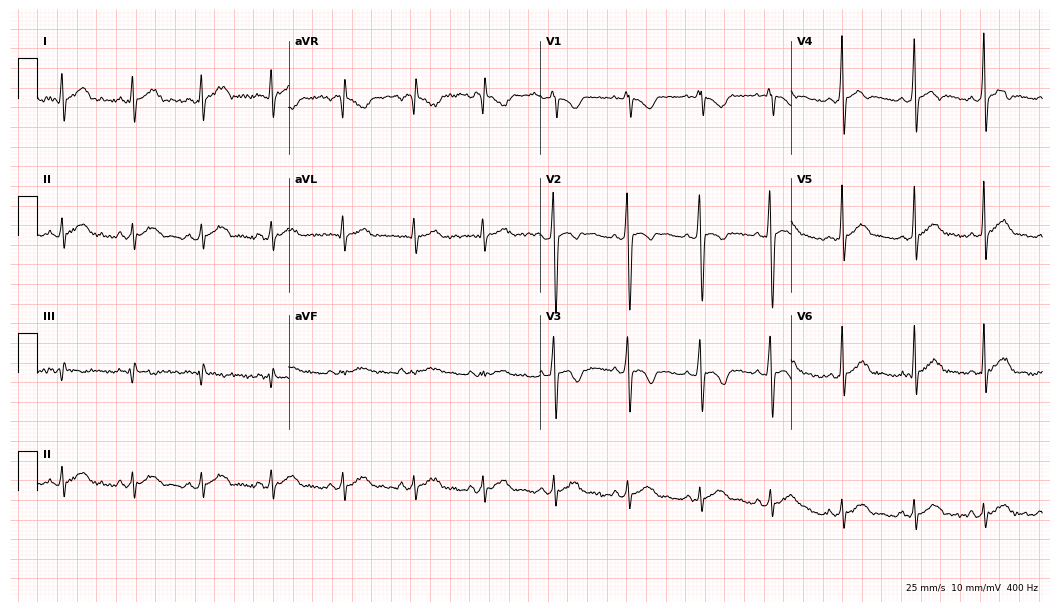
Standard 12-lead ECG recorded from a male, 25 years old (10.2-second recording at 400 Hz). None of these six findings is recorded: first-degree AV block, right bundle branch block, left bundle branch block, sinus bradycardia, atrial fibrillation, sinus tachycardia.